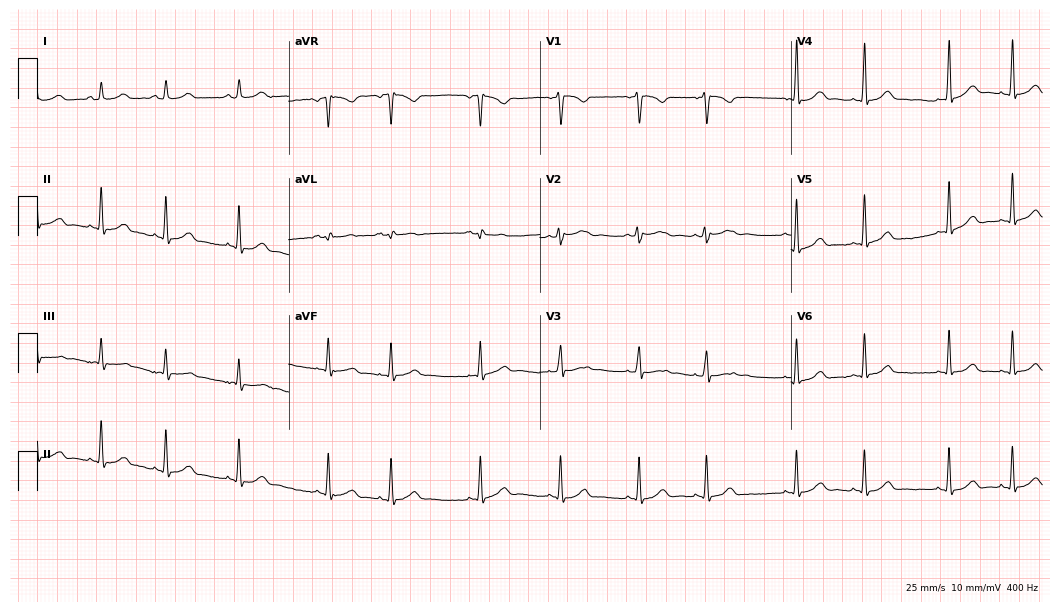
12-lead ECG from a 21-year-old woman (10.2-second recording at 400 Hz). Recorded interpretation: within normal limits.